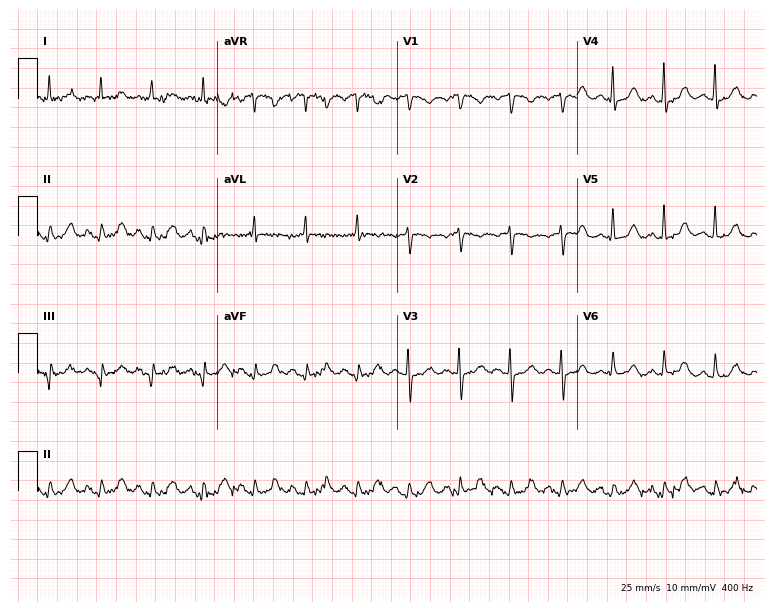
12-lead ECG from a female patient, 68 years old (7.3-second recording at 400 Hz). Shows sinus tachycardia (a sinus rate of 100 beats per minute or more).